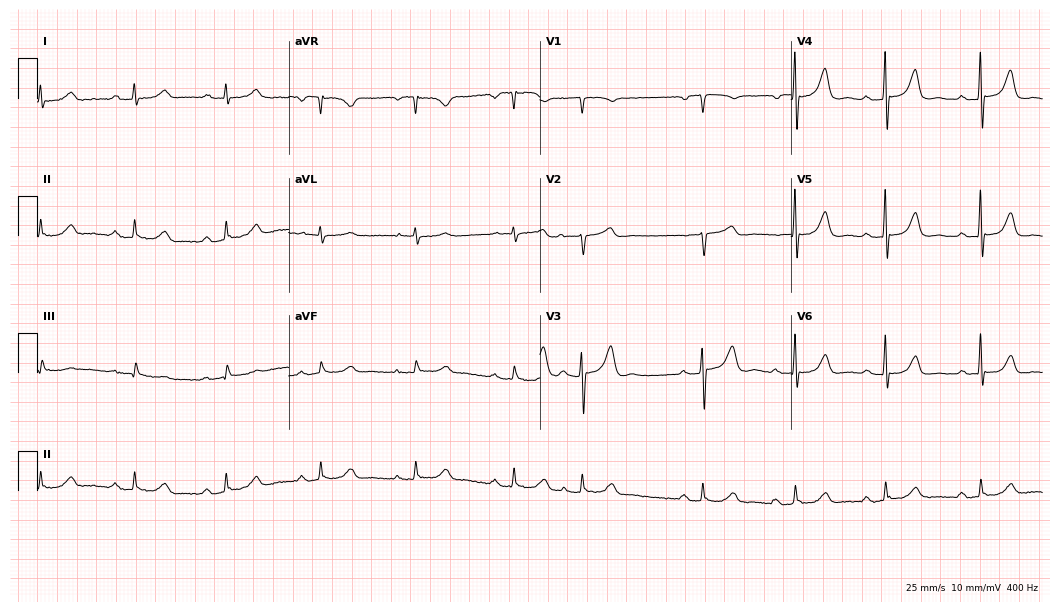
12-lead ECG from a female patient, 76 years old. No first-degree AV block, right bundle branch block (RBBB), left bundle branch block (LBBB), sinus bradycardia, atrial fibrillation (AF) or sinus tachycardia recorded for this tracing.